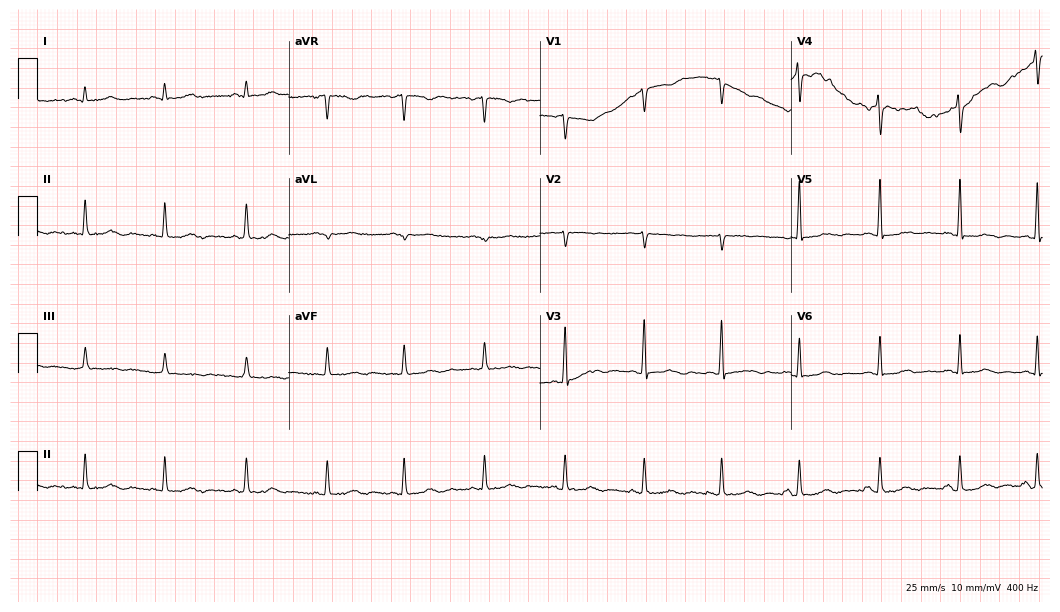
Standard 12-lead ECG recorded from a 45-year-old woman (10.2-second recording at 400 Hz). None of these six findings is recorded: first-degree AV block, right bundle branch block (RBBB), left bundle branch block (LBBB), sinus bradycardia, atrial fibrillation (AF), sinus tachycardia. Other findings, if any, are not listed.